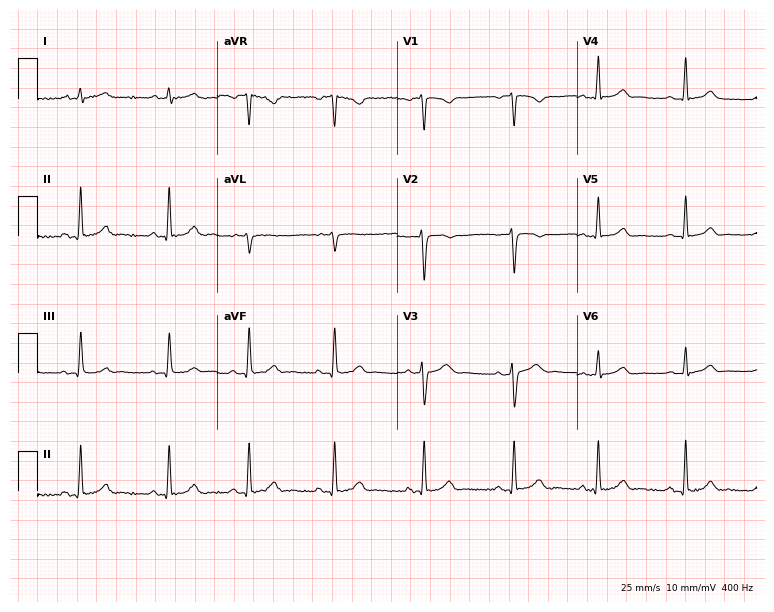
12-lead ECG from a 28-year-old female (7.3-second recording at 400 Hz). No first-degree AV block, right bundle branch block, left bundle branch block, sinus bradycardia, atrial fibrillation or sinus tachycardia recorded for this tracing. Findings outside these six are not listed.